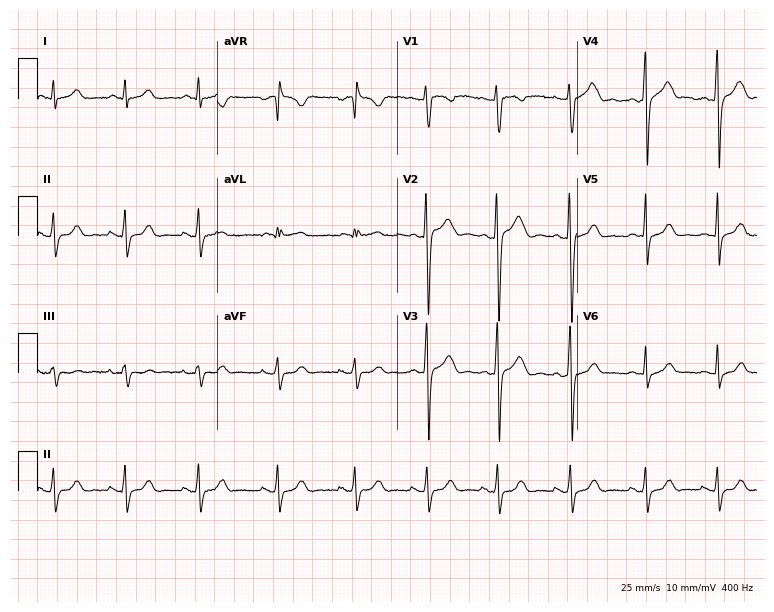
12-lead ECG from a 30-year-old male. No first-degree AV block, right bundle branch block (RBBB), left bundle branch block (LBBB), sinus bradycardia, atrial fibrillation (AF) or sinus tachycardia recorded for this tracing. Findings outside these six are not listed.